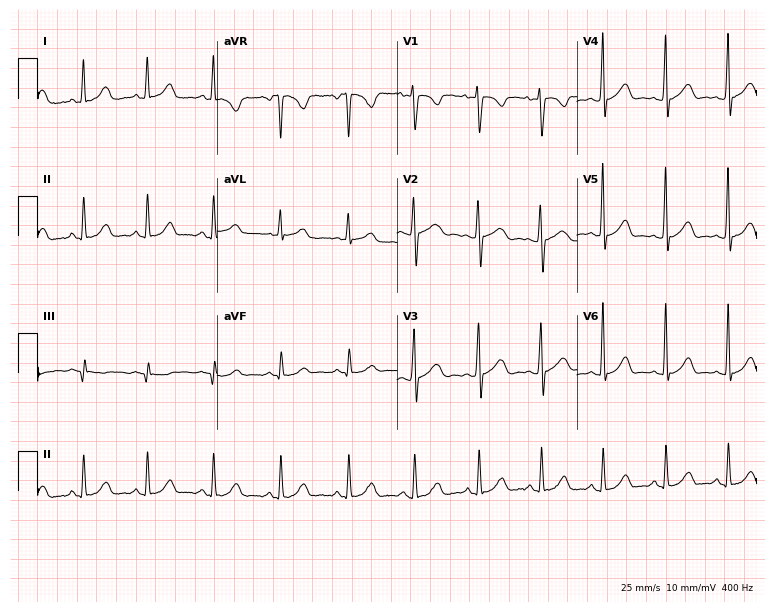
Resting 12-lead electrocardiogram. Patient: a 20-year-old woman. None of these six findings is recorded: first-degree AV block, right bundle branch block, left bundle branch block, sinus bradycardia, atrial fibrillation, sinus tachycardia.